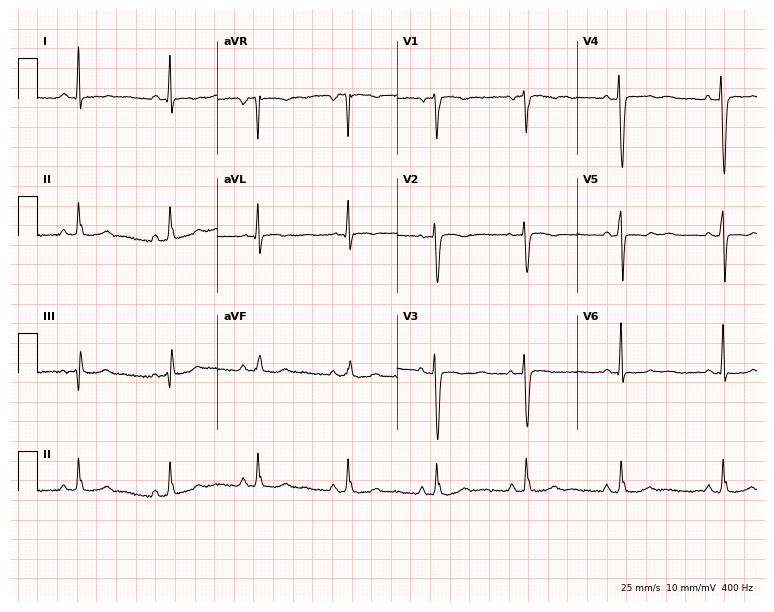
Electrocardiogram (7.3-second recording at 400 Hz), a woman, 67 years old. Overall reading on record: normal ECG.